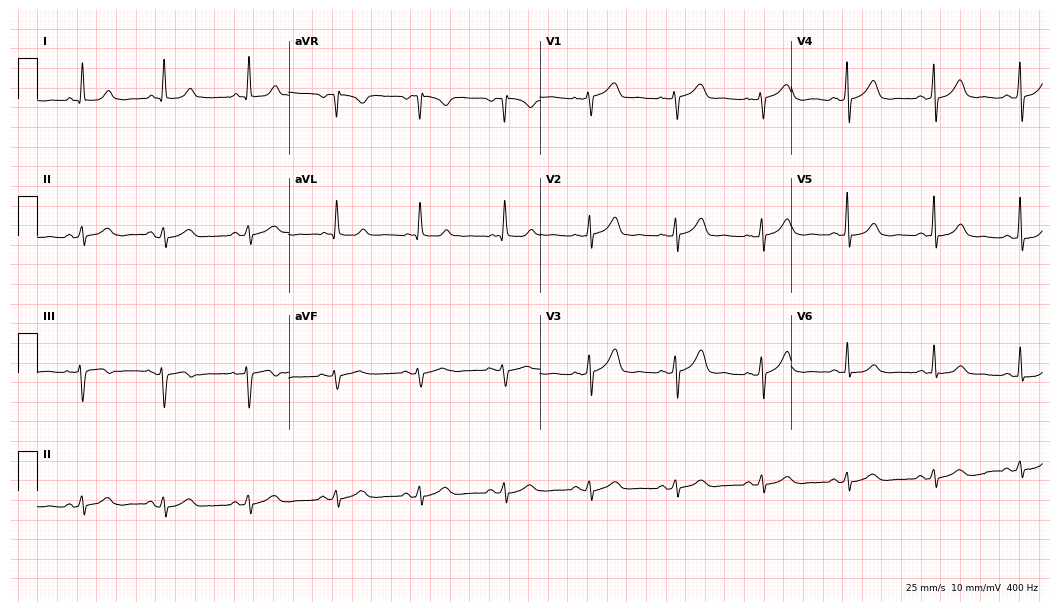
12-lead ECG from a 51-year-old woman (10.2-second recording at 400 Hz). Recorded interpretation: within normal limits.